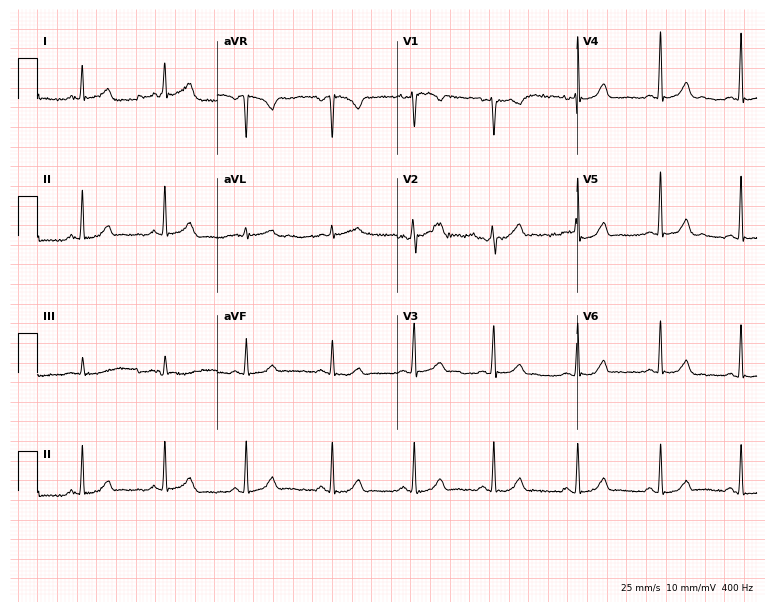
12-lead ECG from a 39-year-old female patient. Recorded interpretation: within normal limits.